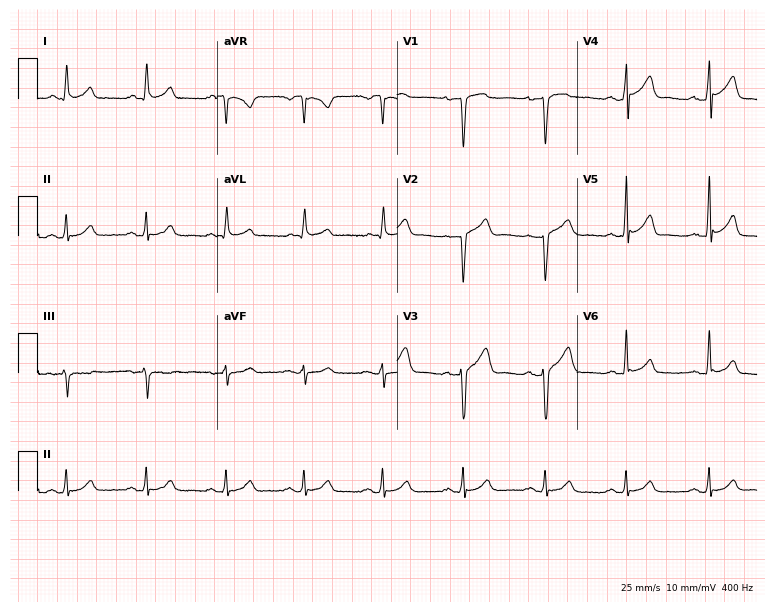
ECG — a man, 36 years old. Labelled as a normal ECG.